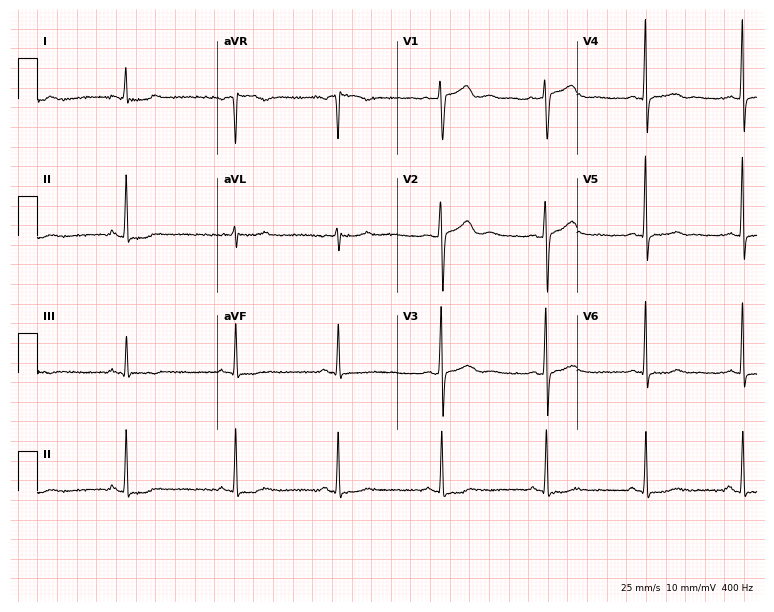
Electrocardiogram, a 51-year-old woman. Of the six screened findings (first-degree AV block, right bundle branch block (RBBB), left bundle branch block (LBBB), sinus bradycardia, atrial fibrillation (AF), sinus tachycardia), none is recorded.